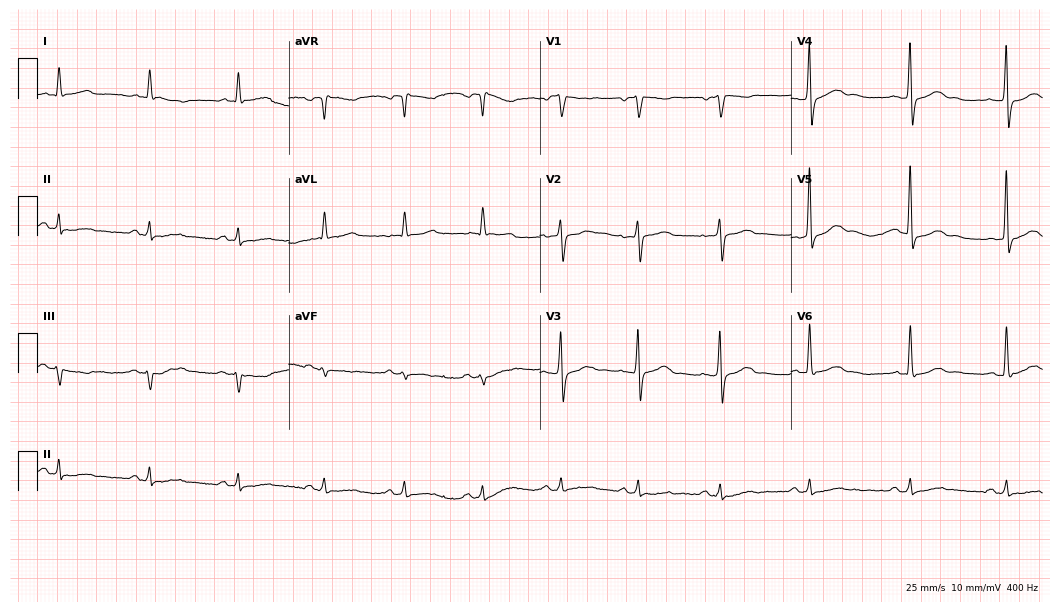
Standard 12-lead ECG recorded from a man, 71 years old. None of these six findings is recorded: first-degree AV block, right bundle branch block, left bundle branch block, sinus bradycardia, atrial fibrillation, sinus tachycardia. Only these six findings were labelled.